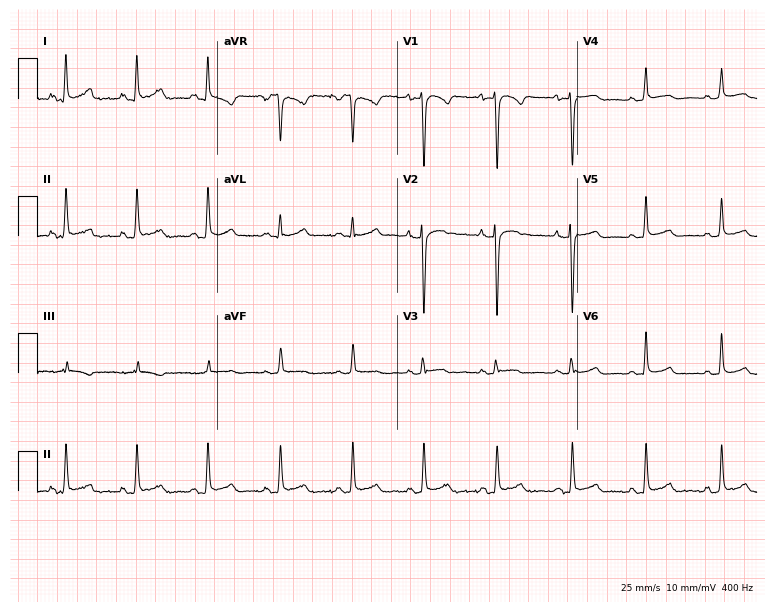
ECG (7.3-second recording at 400 Hz) — a woman, 25 years old. Labelled as a normal ECG.